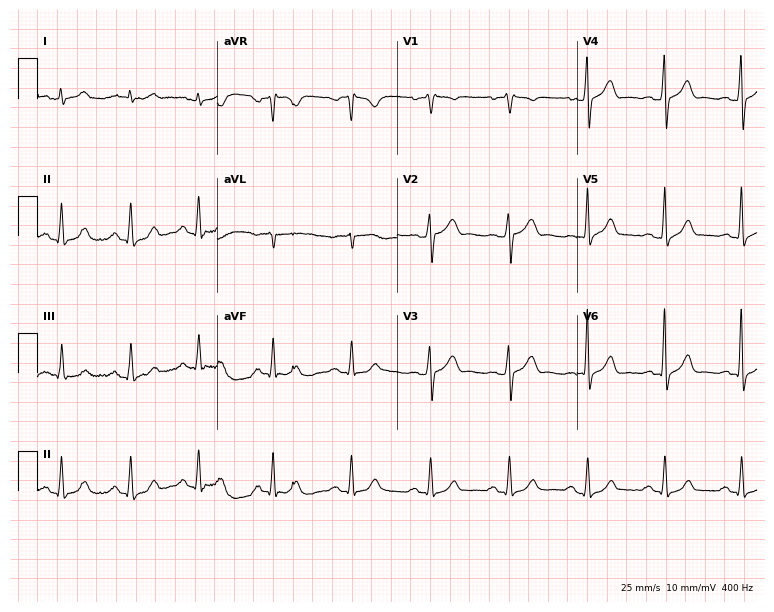
Resting 12-lead electrocardiogram (7.3-second recording at 400 Hz). Patient: a 45-year-old man. None of these six findings is recorded: first-degree AV block, right bundle branch block, left bundle branch block, sinus bradycardia, atrial fibrillation, sinus tachycardia.